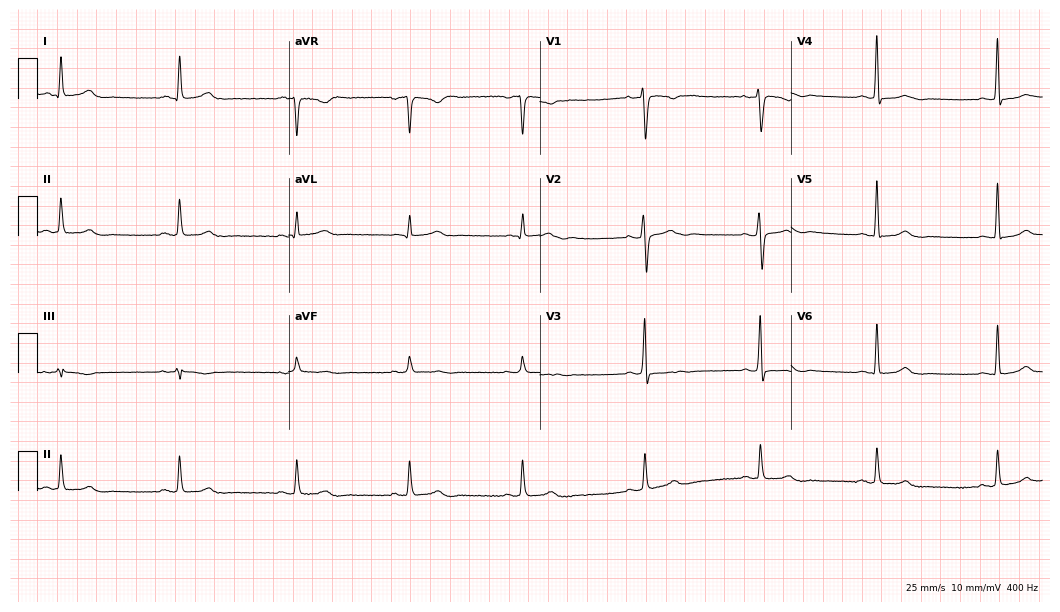
Standard 12-lead ECG recorded from a woman, 36 years old (10.2-second recording at 400 Hz). Read as a normal ECG.